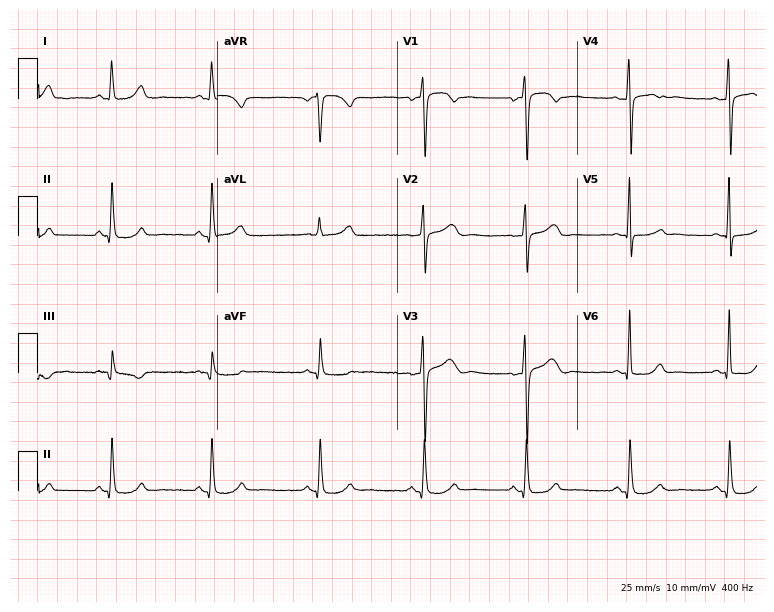
ECG (7.3-second recording at 400 Hz) — a 52-year-old female. Screened for six findings — first-degree AV block, right bundle branch block (RBBB), left bundle branch block (LBBB), sinus bradycardia, atrial fibrillation (AF), sinus tachycardia — none is recorded. Findings outside these six are not listed.